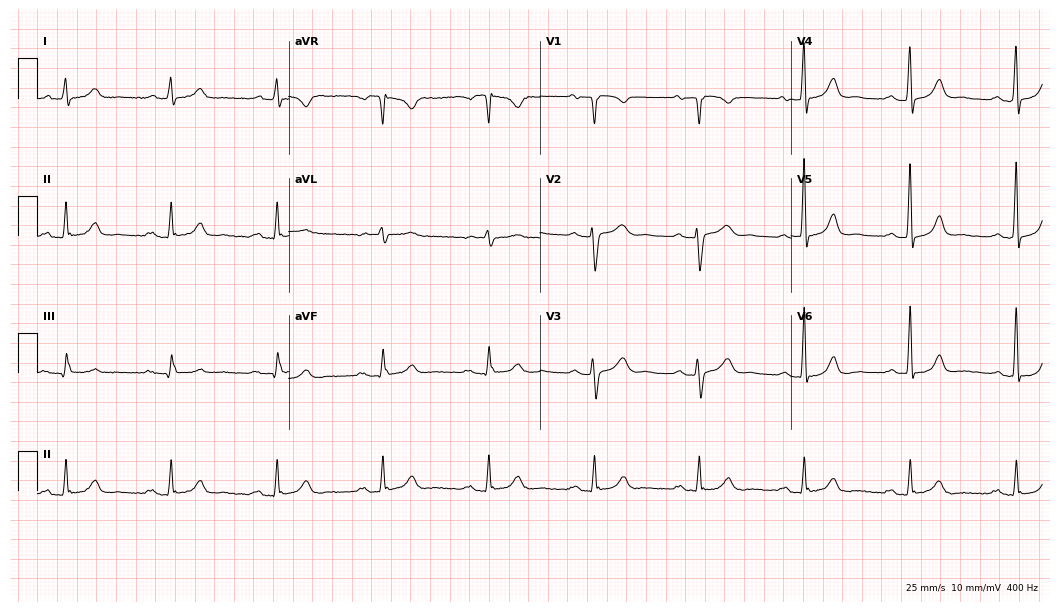
Electrocardiogram (10.2-second recording at 400 Hz), a 69-year-old female. Overall reading on record: normal ECG.